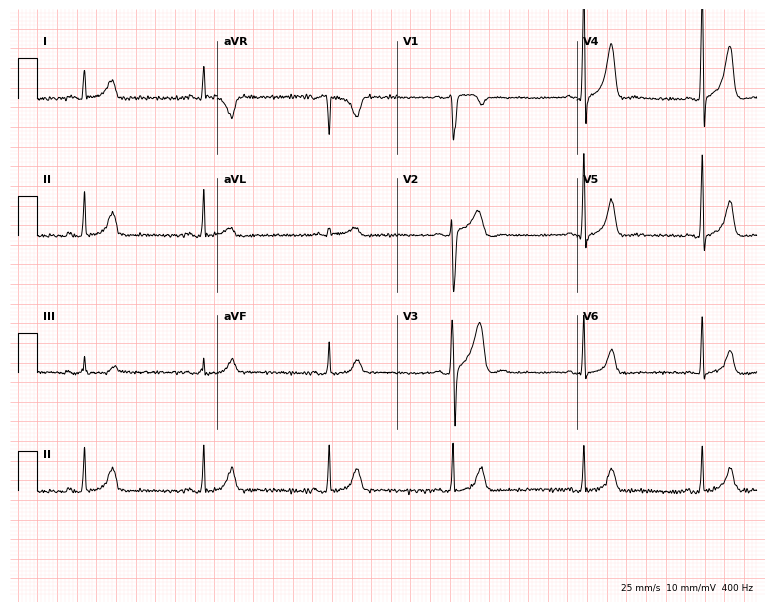
ECG (7.3-second recording at 400 Hz) — an 82-year-old male patient. Screened for six findings — first-degree AV block, right bundle branch block, left bundle branch block, sinus bradycardia, atrial fibrillation, sinus tachycardia — none is recorded. Only these six findings were labelled.